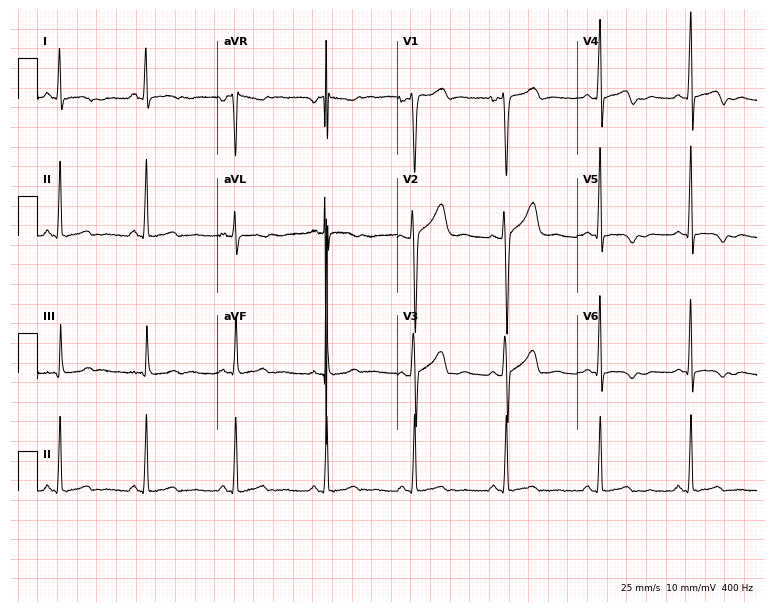
Electrocardiogram, a woman, 39 years old. Of the six screened findings (first-degree AV block, right bundle branch block, left bundle branch block, sinus bradycardia, atrial fibrillation, sinus tachycardia), none is recorded. Other findings, if any, are not listed.